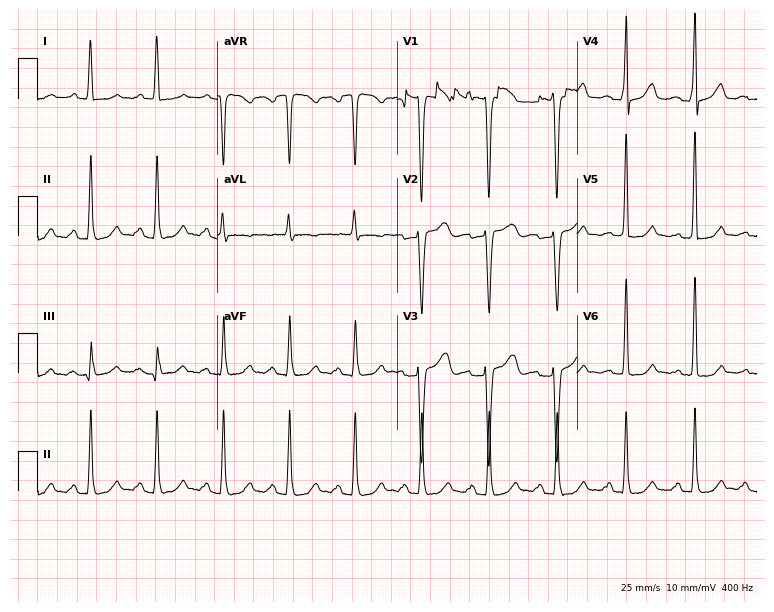
12-lead ECG from a female patient, 49 years old. Recorded interpretation: within normal limits.